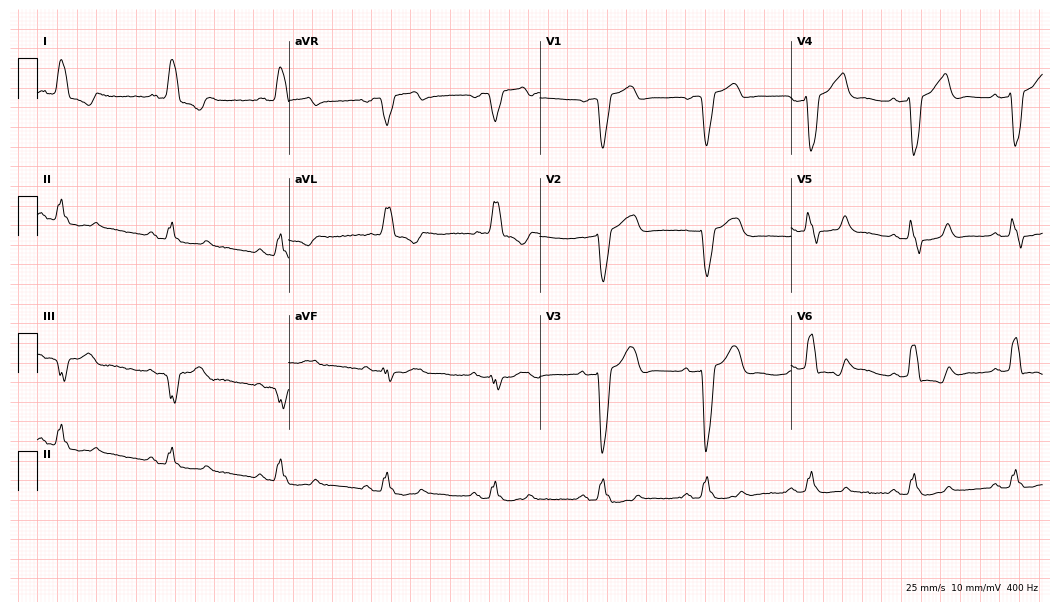
ECG (10.2-second recording at 400 Hz) — a man, 79 years old. Findings include left bundle branch block.